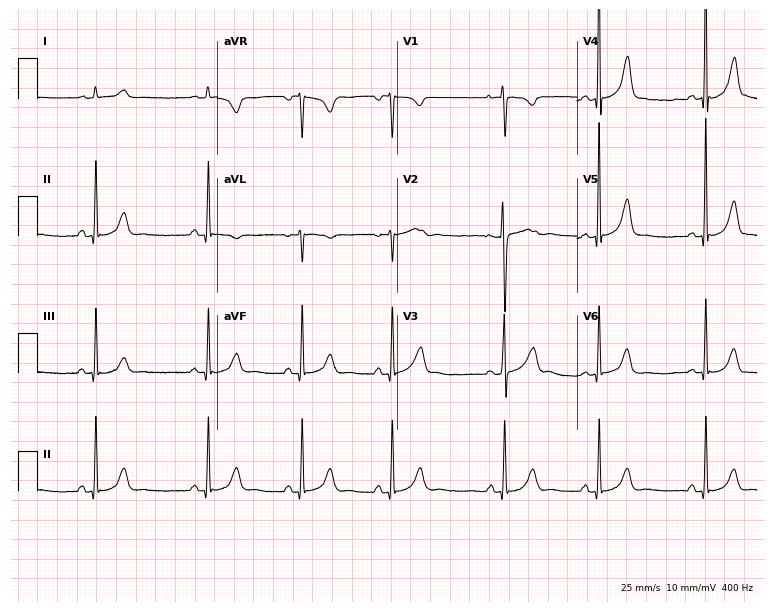
12-lead ECG from a female, 26 years old (7.3-second recording at 400 Hz). Recorded interpretation: within normal limits.